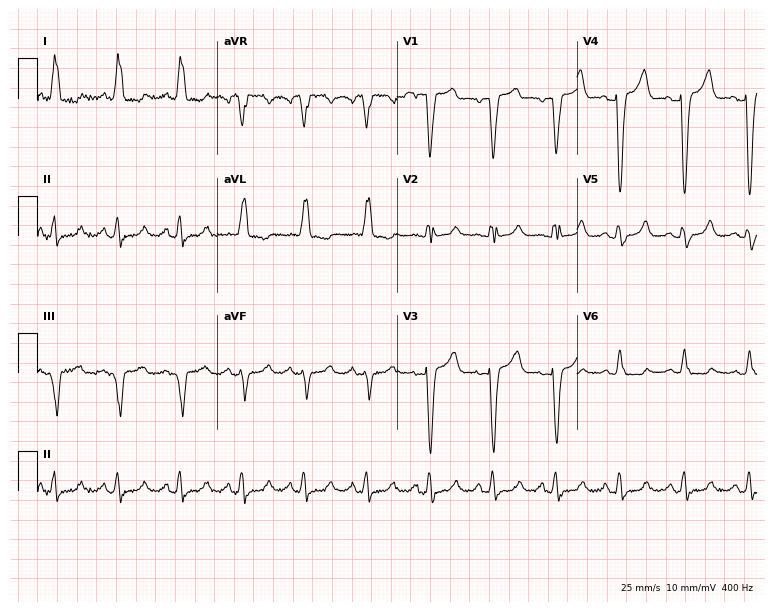
ECG (7.3-second recording at 400 Hz) — a 70-year-old woman. Findings include left bundle branch block.